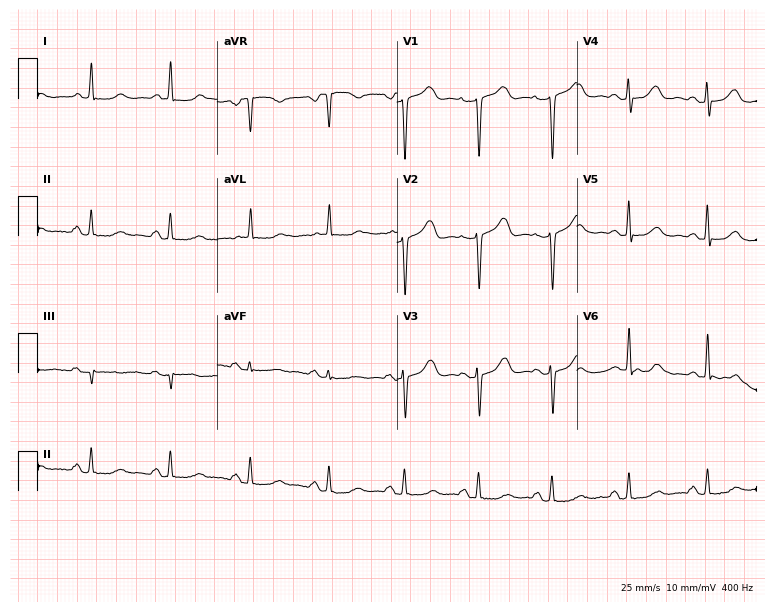
ECG (7.3-second recording at 400 Hz) — a male, 52 years old. Screened for six findings — first-degree AV block, right bundle branch block, left bundle branch block, sinus bradycardia, atrial fibrillation, sinus tachycardia — none is recorded.